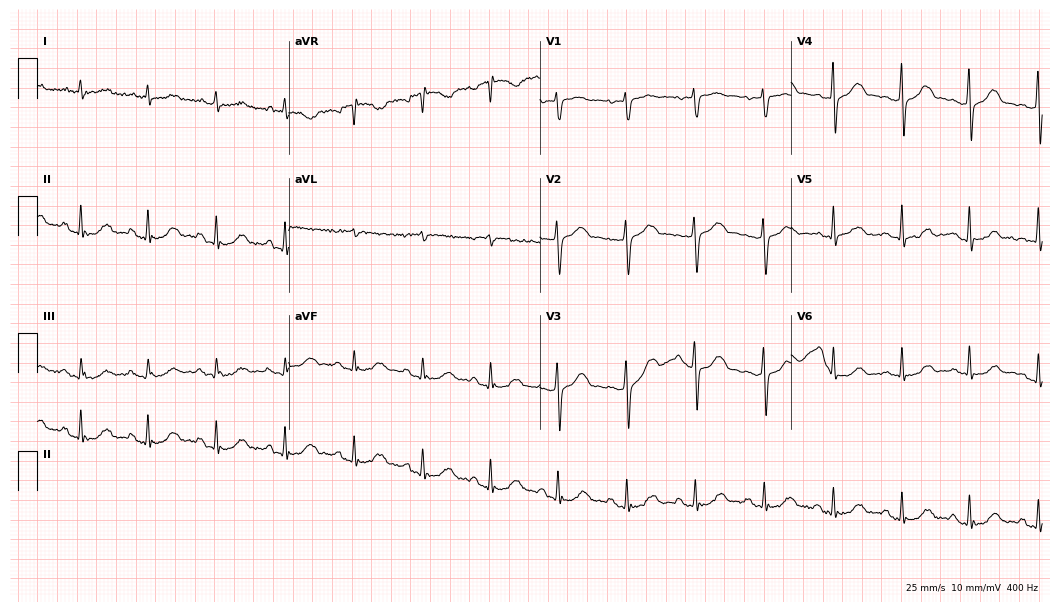
Resting 12-lead electrocardiogram. Patient: a 67-year-old female. None of these six findings is recorded: first-degree AV block, right bundle branch block, left bundle branch block, sinus bradycardia, atrial fibrillation, sinus tachycardia.